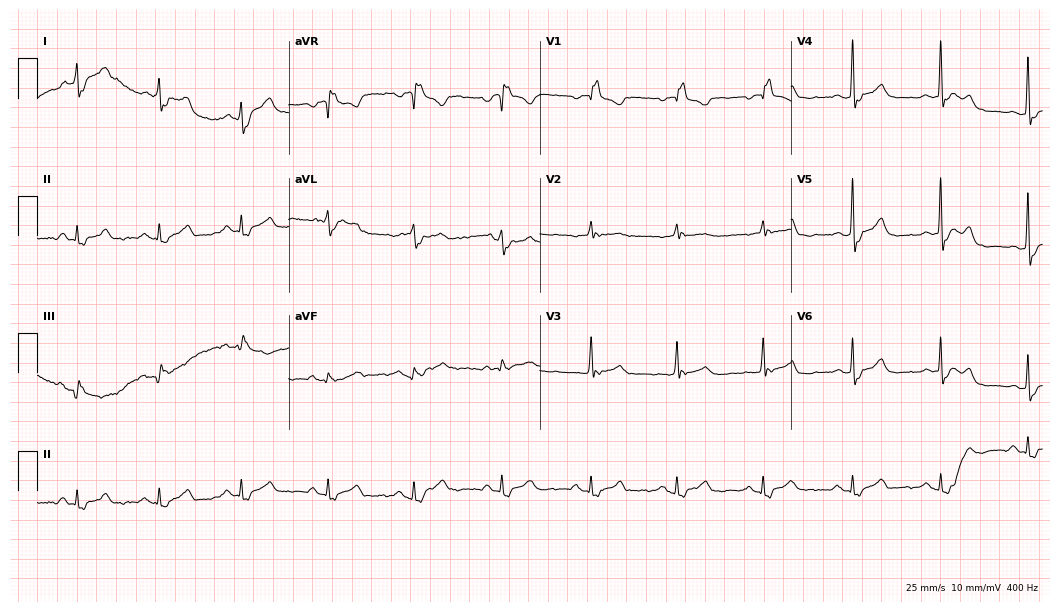
ECG (10.2-second recording at 400 Hz) — a woman, 71 years old. Screened for six findings — first-degree AV block, right bundle branch block, left bundle branch block, sinus bradycardia, atrial fibrillation, sinus tachycardia — none is recorded. Other findings, if any, are not listed.